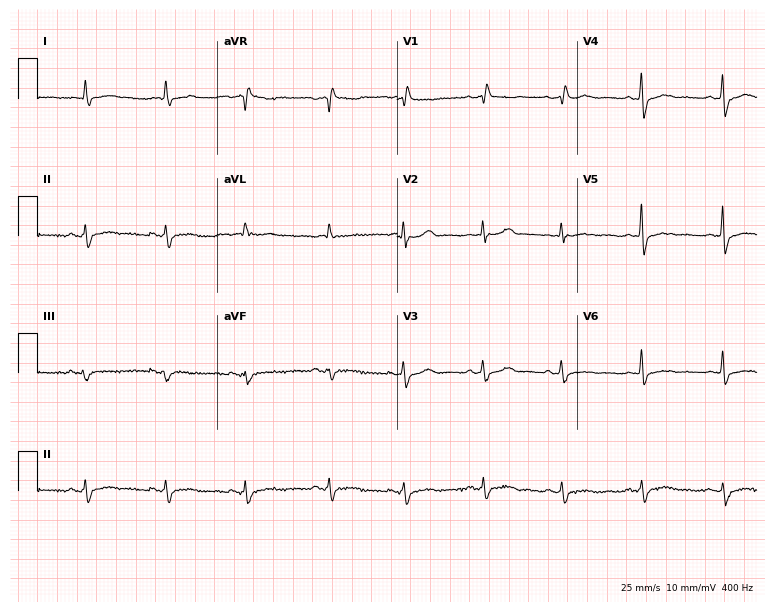
Standard 12-lead ECG recorded from a female patient, 56 years old. None of these six findings is recorded: first-degree AV block, right bundle branch block, left bundle branch block, sinus bradycardia, atrial fibrillation, sinus tachycardia.